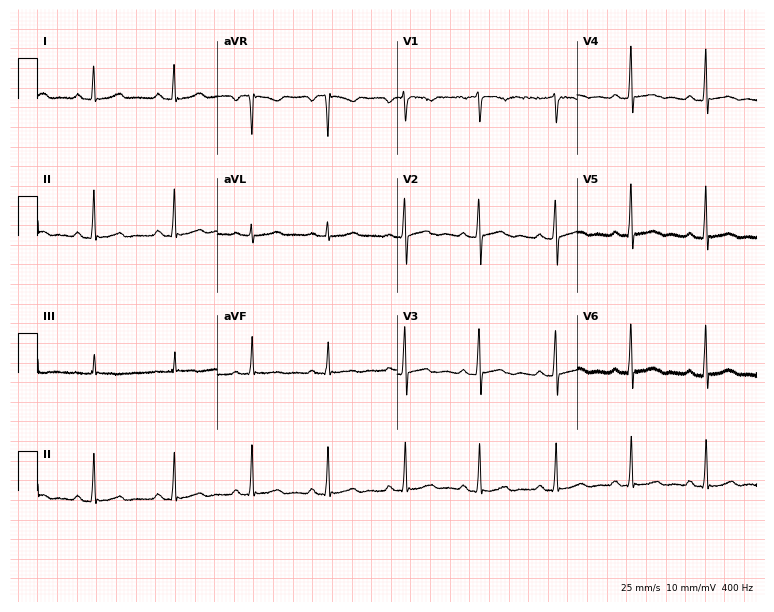
Resting 12-lead electrocardiogram. Patient: a 23-year-old female. Read as a normal ECG.